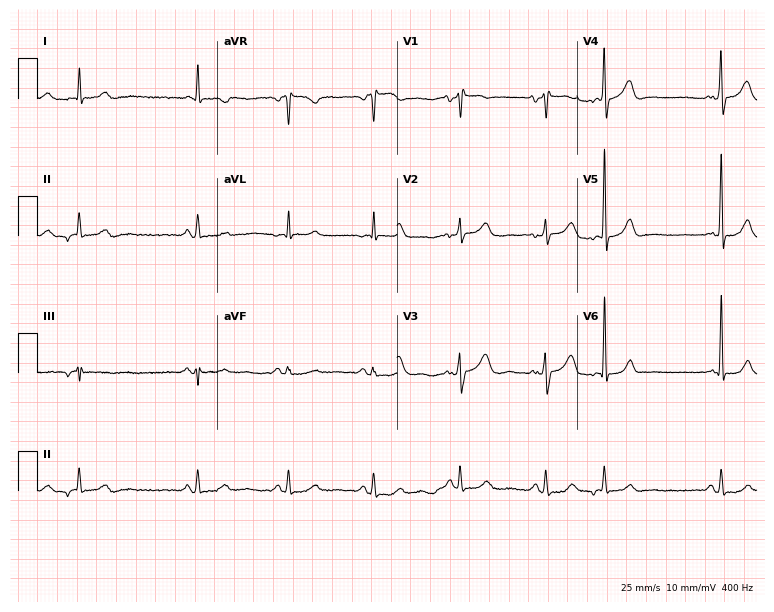
Resting 12-lead electrocardiogram (7.3-second recording at 400 Hz). Patient: a 66-year-old male. None of these six findings is recorded: first-degree AV block, right bundle branch block, left bundle branch block, sinus bradycardia, atrial fibrillation, sinus tachycardia. Findings outside these six are not listed.